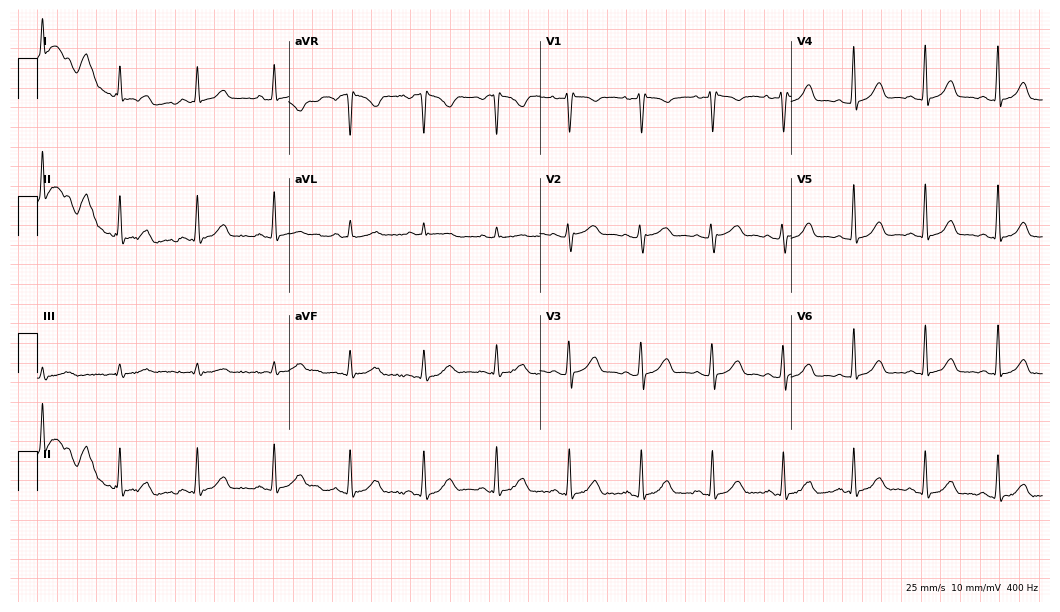
12-lead ECG (10.2-second recording at 400 Hz) from a female, 47 years old. Screened for six findings — first-degree AV block, right bundle branch block (RBBB), left bundle branch block (LBBB), sinus bradycardia, atrial fibrillation (AF), sinus tachycardia — none is recorded.